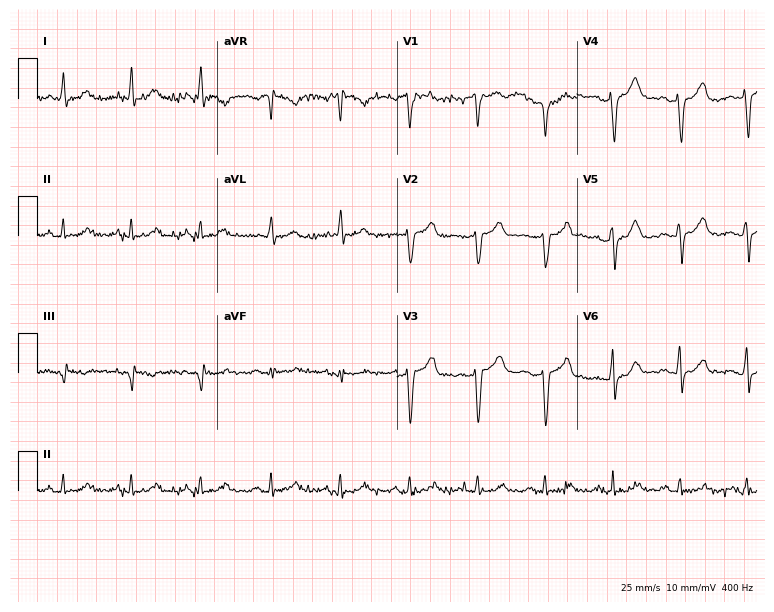
12-lead ECG from a 62-year-old male patient (7.3-second recording at 400 Hz). No first-degree AV block, right bundle branch block, left bundle branch block, sinus bradycardia, atrial fibrillation or sinus tachycardia recorded for this tracing. Other findings, if any, are not listed.